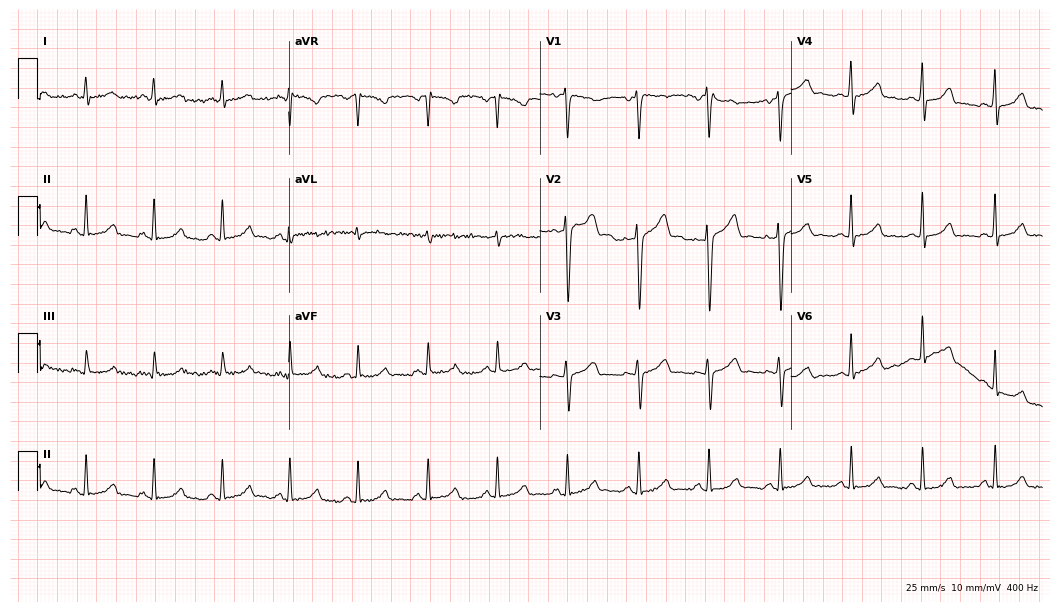
12-lead ECG from a female, 34 years old (10.2-second recording at 400 Hz). Recorded interpretation: within normal limits.